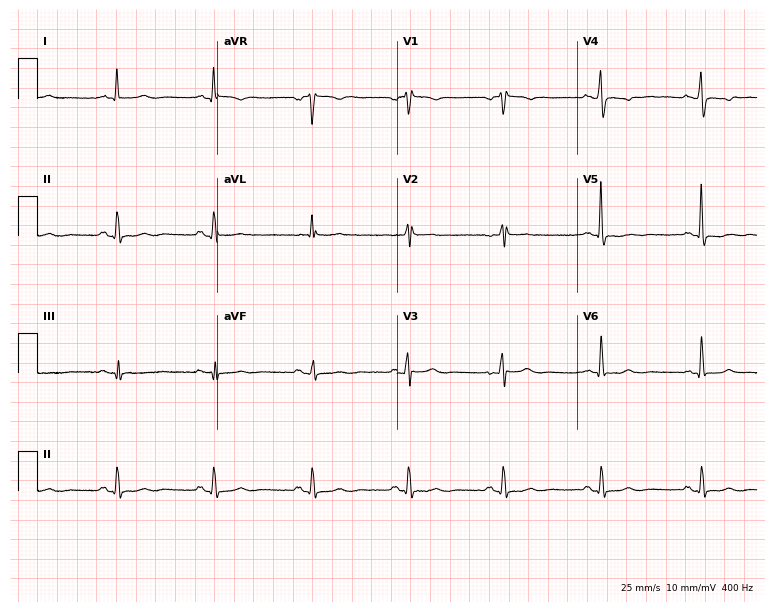
ECG (7.3-second recording at 400 Hz) — a 56-year-old female patient. Screened for six findings — first-degree AV block, right bundle branch block, left bundle branch block, sinus bradycardia, atrial fibrillation, sinus tachycardia — none is recorded.